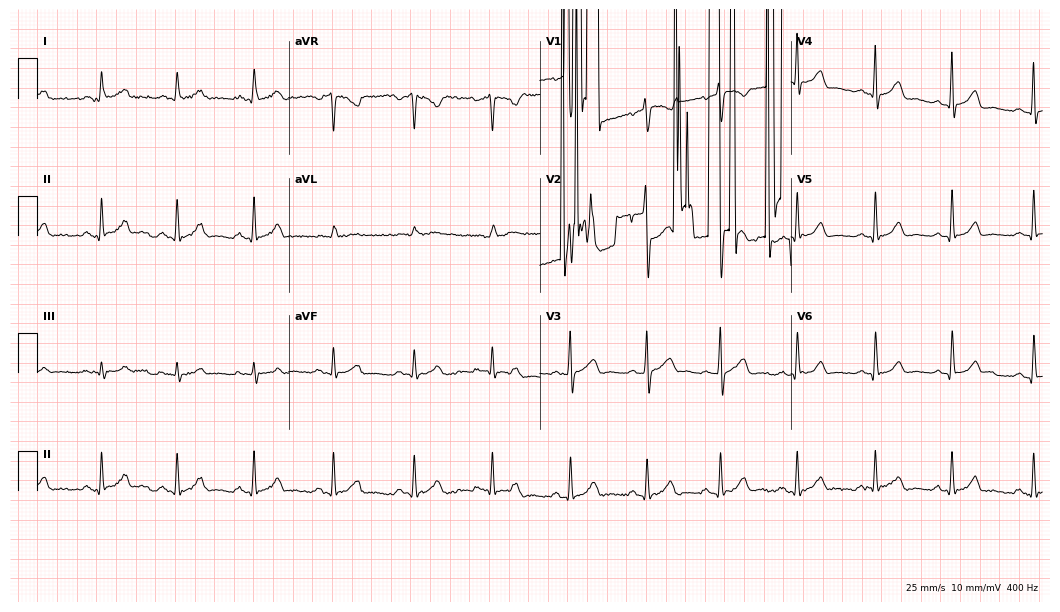
Standard 12-lead ECG recorded from a female, 32 years old. None of these six findings is recorded: first-degree AV block, right bundle branch block, left bundle branch block, sinus bradycardia, atrial fibrillation, sinus tachycardia. Other findings, if any, are not listed.